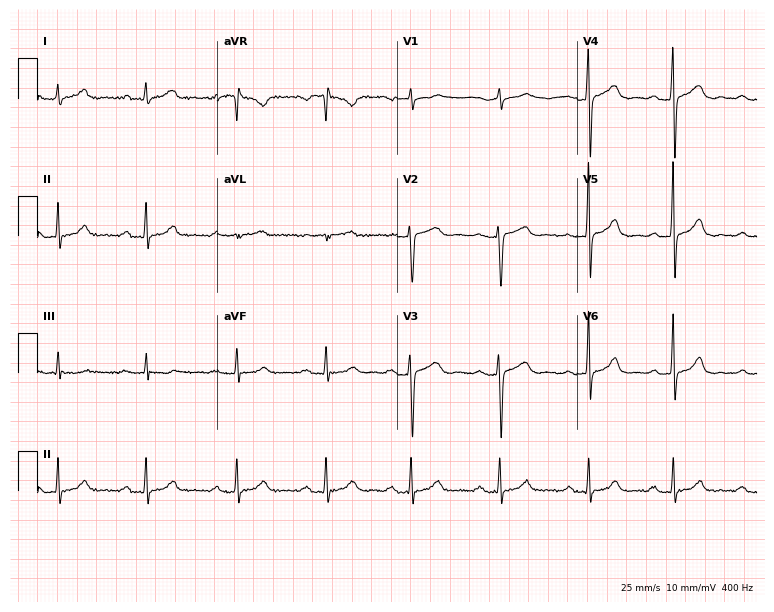
12-lead ECG from a woman, 31 years old. Shows first-degree AV block.